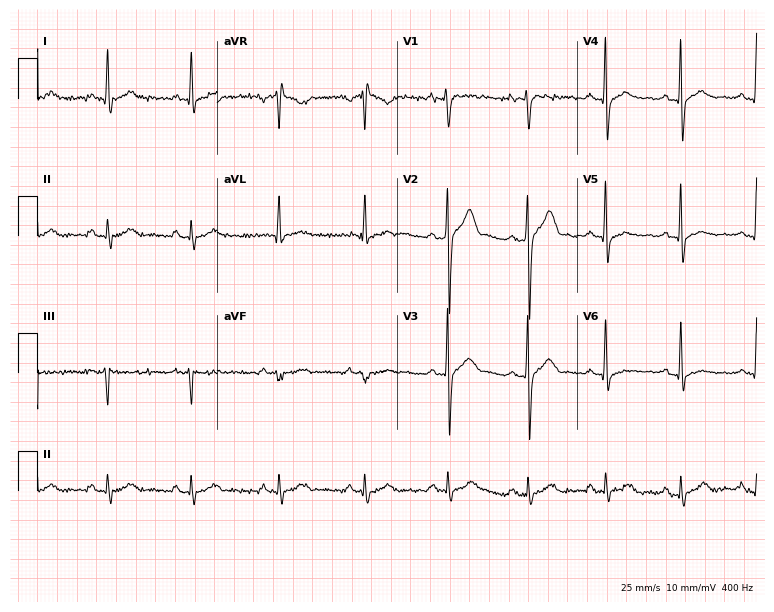
Standard 12-lead ECG recorded from a 33-year-old man. None of these six findings is recorded: first-degree AV block, right bundle branch block (RBBB), left bundle branch block (LBBB), sinus bradycardia, atrial fibrillation (AF), sinus tachycardia. Only these six findings were labelled.